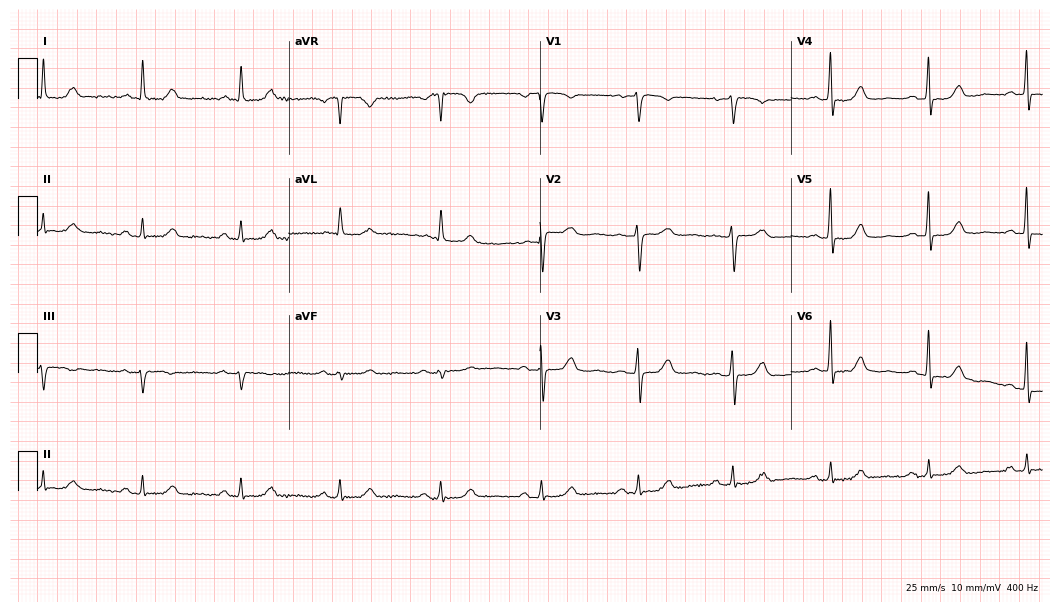
12-lead ECG (10.2-second recording at 400 Hz) from a female, 73 years old. Screened for six findings — first-degree AV block, right bundle branch block (RBBB), left bundle branch block (LBBB), sinus bradycardia, atrial fibrillation (AF), sinus tachycardia — none is recorded. Only these six findings were labelled.